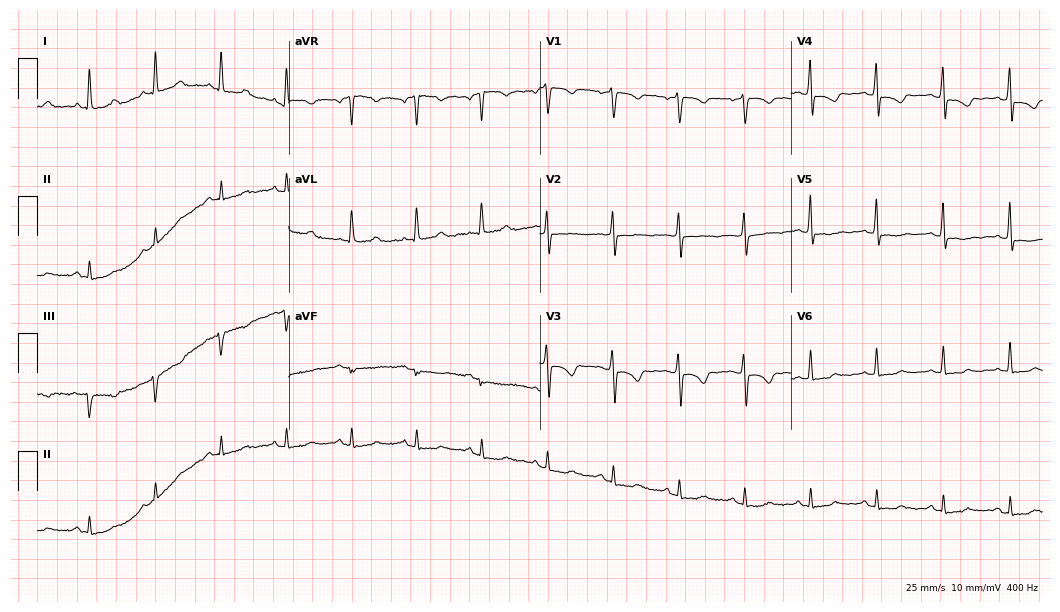
Resting 12-lead electrocardiogram (10.2-second recording at 400 Hz). Patient: a woman, 65 years old. None of these six findings is recorded: first-degree AV block, right bundle branch block, left bundle branch block, sinus bradycardia, atrial fibrillation, sinus tachycardia. Other findings, if any, are not listed.